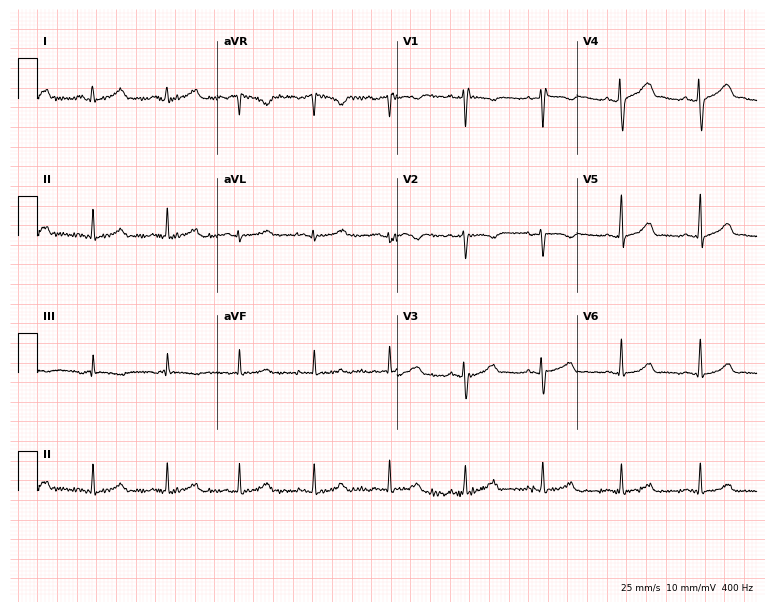
12-lead ECG from a 23-year-old female (7.3-second recording at 400 Hz). Recorded interpretation: within normal limits.